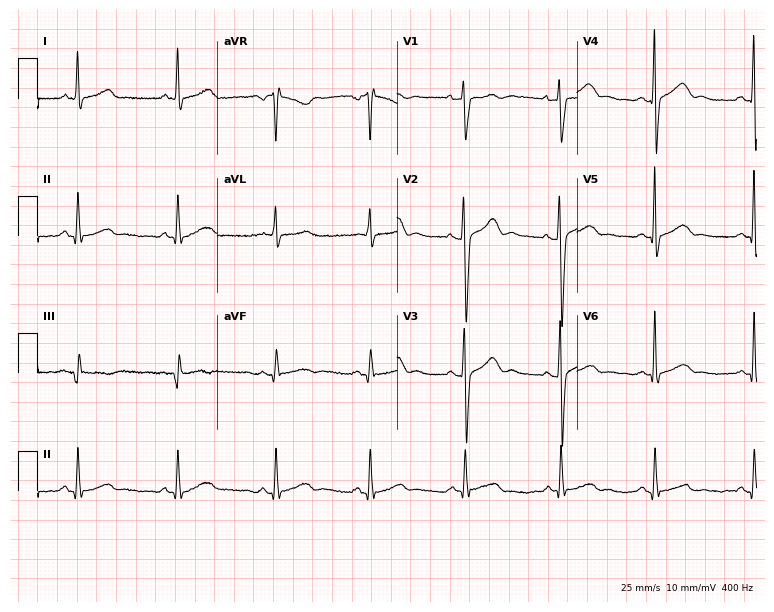
ECG — a 29-year-old female patient. Screened for six findings — first-degree AV block, right bundle branch block, left bundle branch block, sinus bradycardia, atrial fibrillation, sinus tachycardia — none is recorded. Other findings, if any, are not listed.